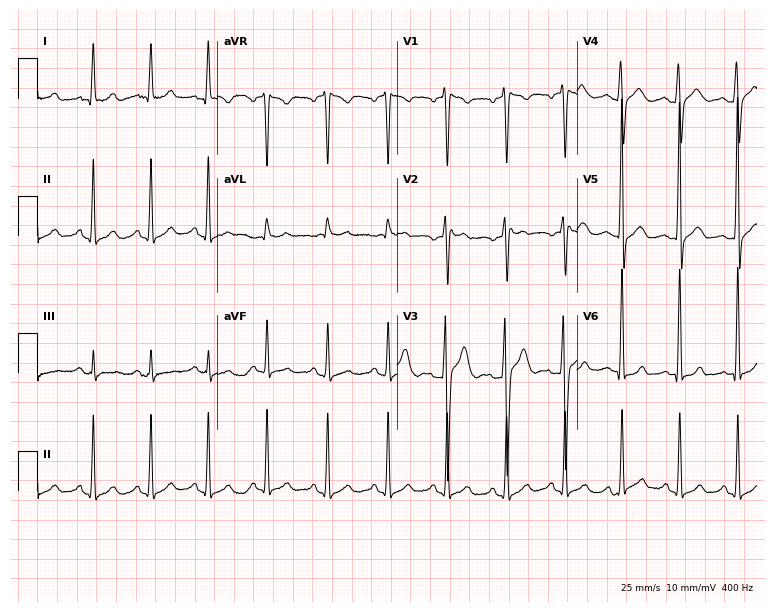
ECG — a male, 28 years old. Labelled as a normal ECG.